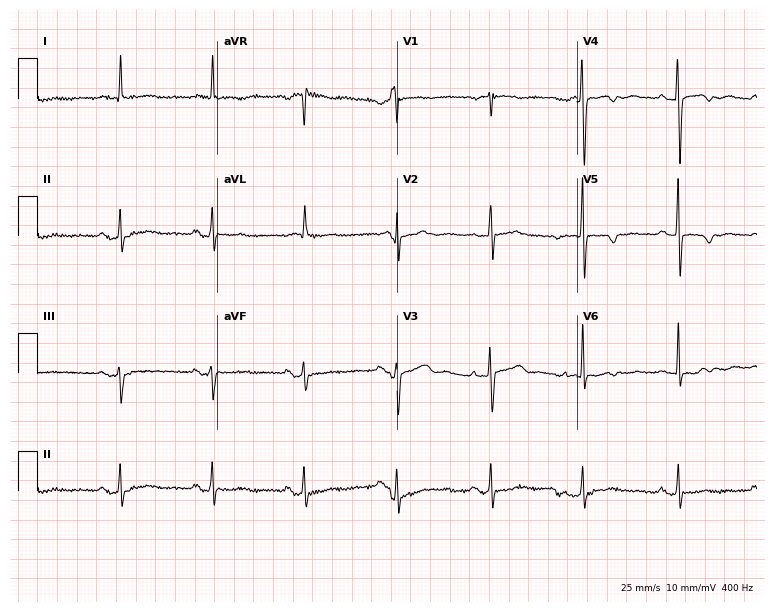
12-lead ECG from a 75-year-old female. No first-degree AV block, right bundle branch block, left bundle branch block, sinus bradycardia, atrial fibrillation or sinus tachycardia recorded for this tracing. Other findings, if any, are not listed.